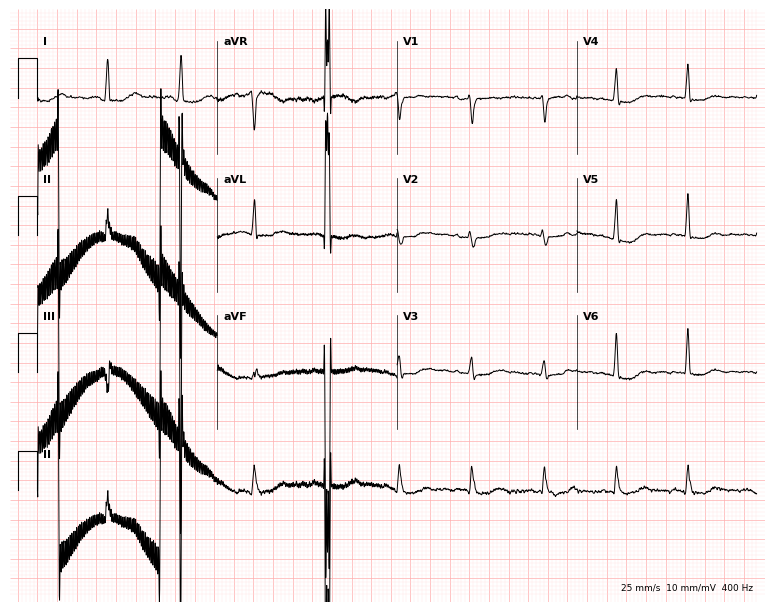
Standard 12-lead ECG recorded from a female, 60 years old (7.3-second recording at 400 Hz). None of these six findings is recorded: first-degree AV block, right bundle branch block (RBBB), left bundle branch block (LBBB), sinus bradycardia, atrial fibrillation (AF), sinus tachycardia.